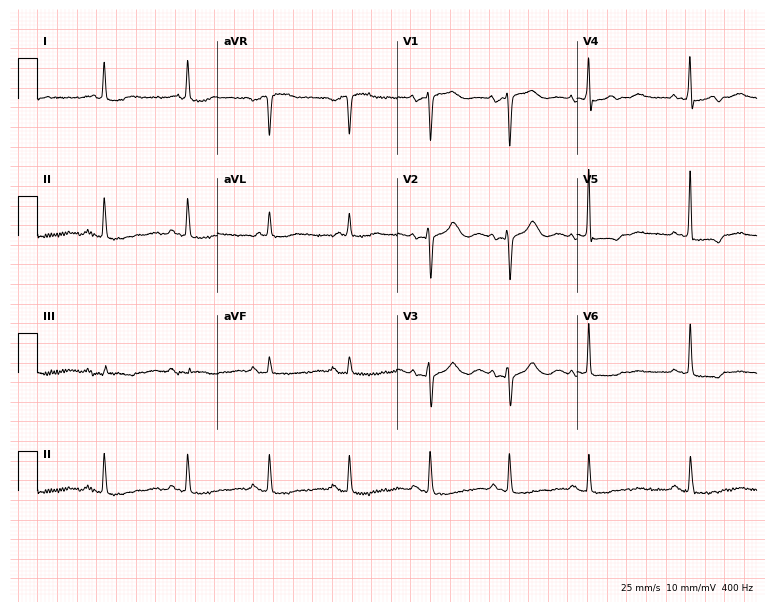
Electrocardiogram, a female patient, 81 years old. Of the six screened findings (first-degree AV block, right bundle branch block (RBBB), left bundle branch block (LBBB), sinus bradycardia, atrial fibrillation (AF), sinus tachycardia), none is recorded. Only these six findings were labelled.